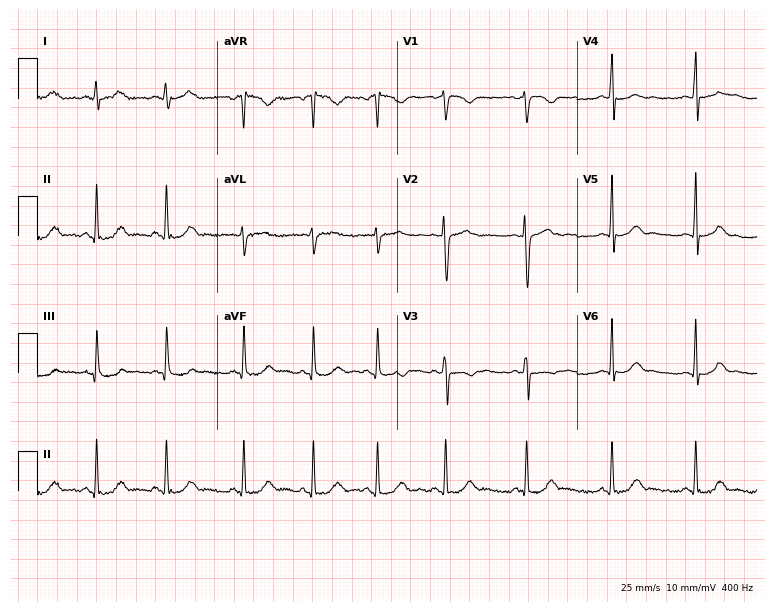
12-lead ECG (7.3-second recording at 400 Hz) from a female, 18 years old. Screened for six findings — first-degree AV block, right bundle branch block, left bundle branch block, sinus bradycardia, atrial fibrillation, sinus tachycardia — none is recorded. Only these six findings were labelled.